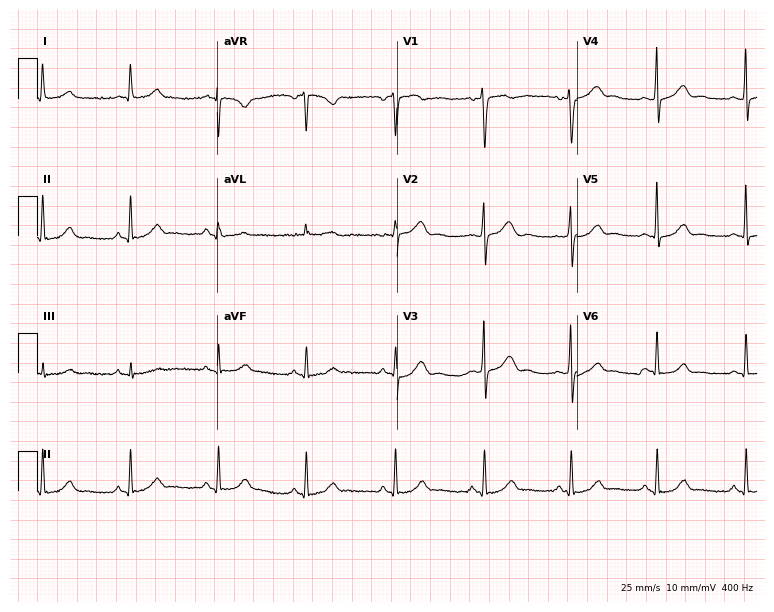
Resting 12-lead electrocardiogram (7.3-second recording at 400 Hz). Patient: a 43-year-old female. Read as a normal ECG.